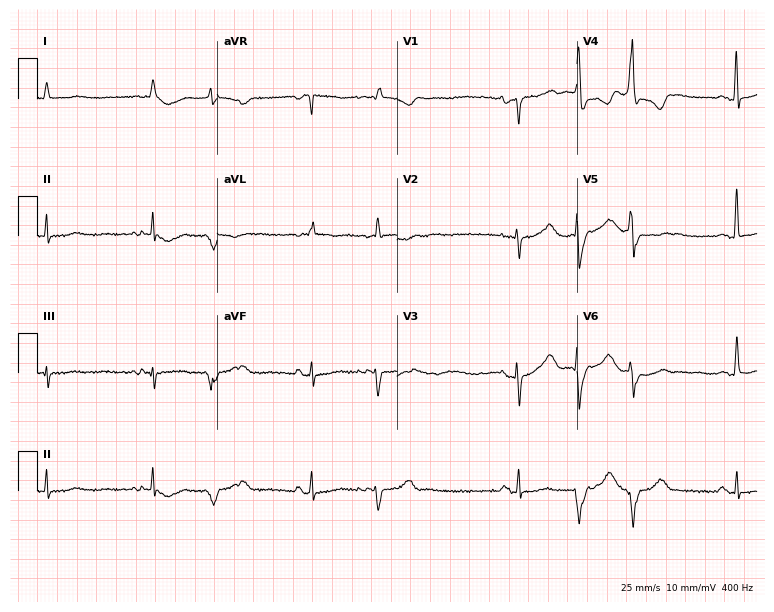
12-lead ECG from a female patient, 54 years old. Recorded interpretation: within normal limits.